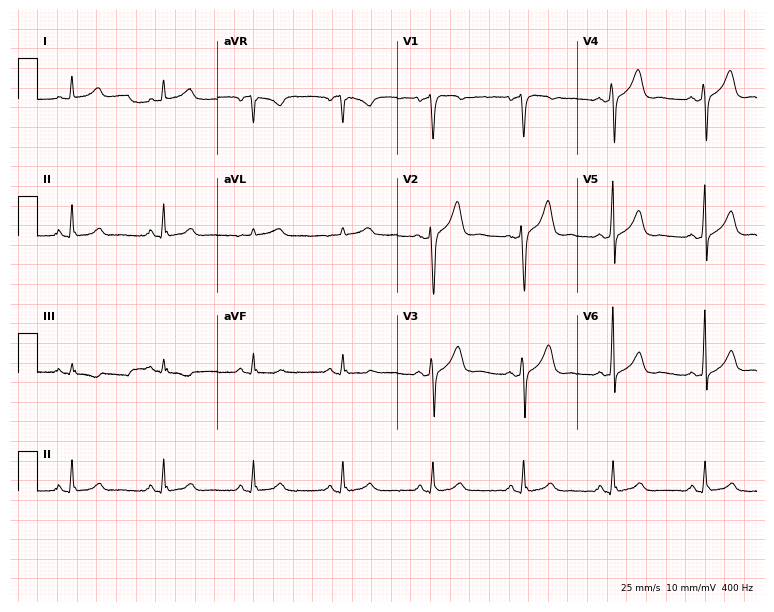
Electrocardiogram, a 48-year-old man. Of the six screened findings (first-degree AV block, right bundle branch block, left bundle branch block, sinus bradycardia, atrial fibrillation, sinus tachycardia), none is recorded.